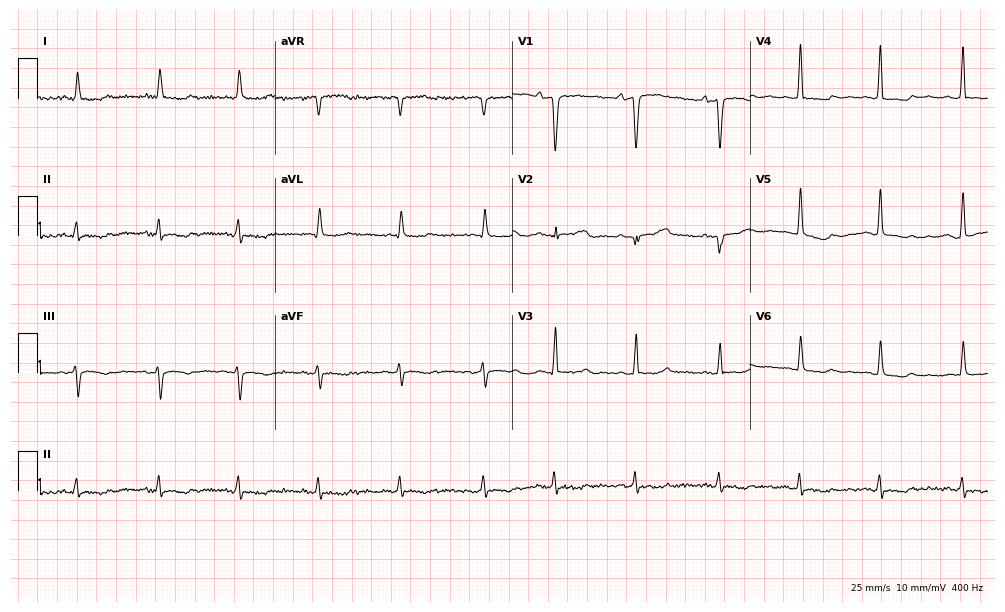
Resting 12-lead electrocardiogram. Patient: a male, 84 years old. None of these six findings is recorded: first-degree AV block, right bundle branch block, left bundle branch block, sinus bradycardia, atrial fibrillation, sinus tachycardia.